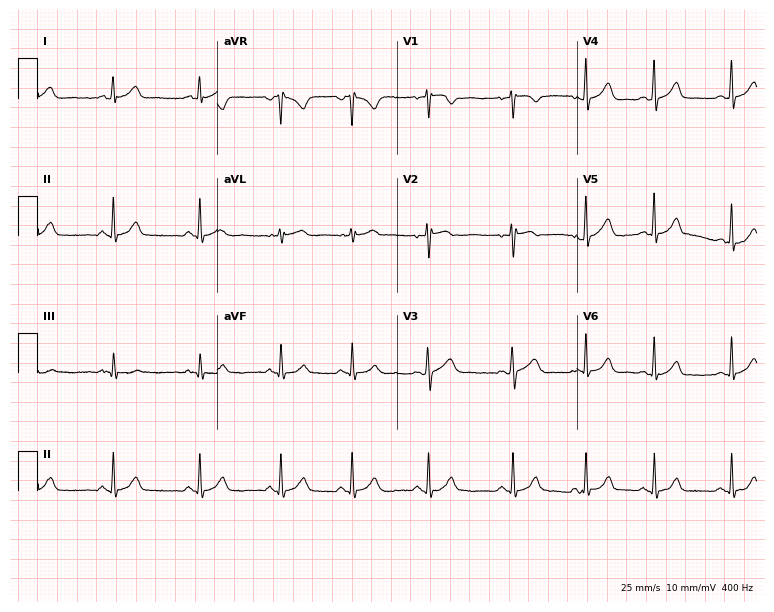
12-lead ECG from a 20-year-old woman (7.3-second recording at 400 Hz). No first-degree AV block, right bundle branch block, left bundle branch block, sinus bradycardia, atrial fibrillation or sinus tachycardia recorded for this tracing. Only these six findings were labelled.